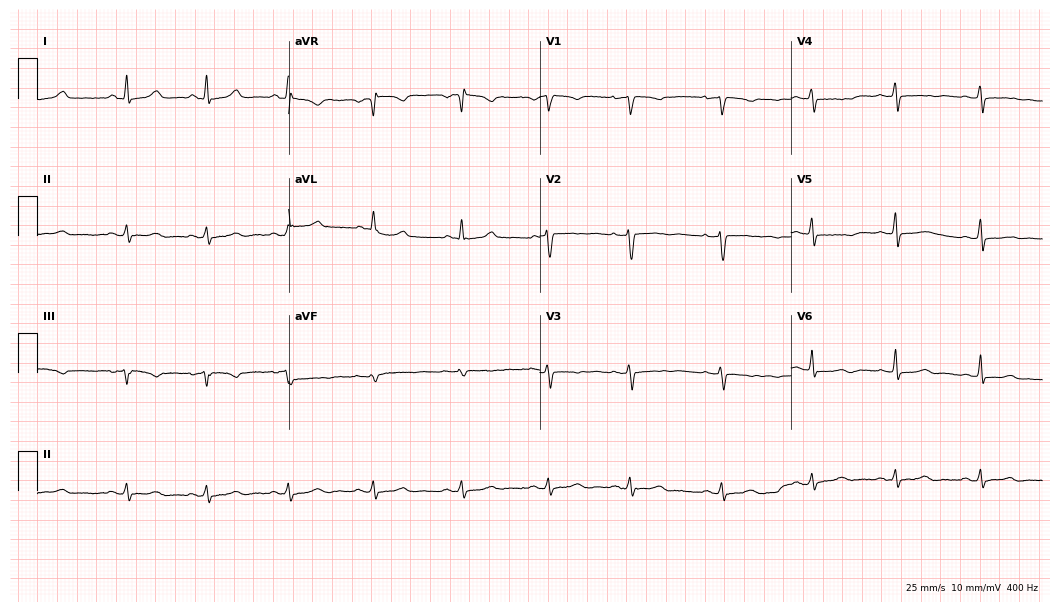
Standard 12-lead ECG recorded from a female patient, 57 years old. None of these six findings is recorded: first-degree AV block, right bundle branch block, left bundle branch block, sinus bradycardia, atrial fibrillation, sinus tachycardia.